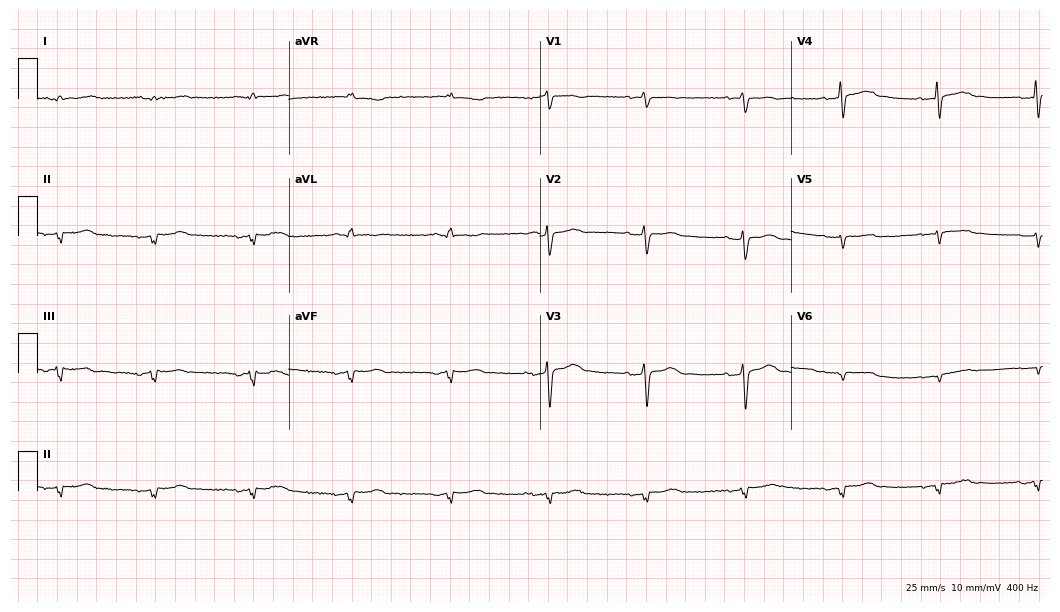
Resting 12-lead electrocardiogram (10.2-second recording at 400 Hz). Patient: a female, 75 years old. None of these six findings is recorded: first-degree AV block, right bundle branch block (RBBB), left bundle branch block (LBBB), sinus bradycardia, atrial fibrillation (AF), sinus tachycardia. Findings outside these six are not listed.